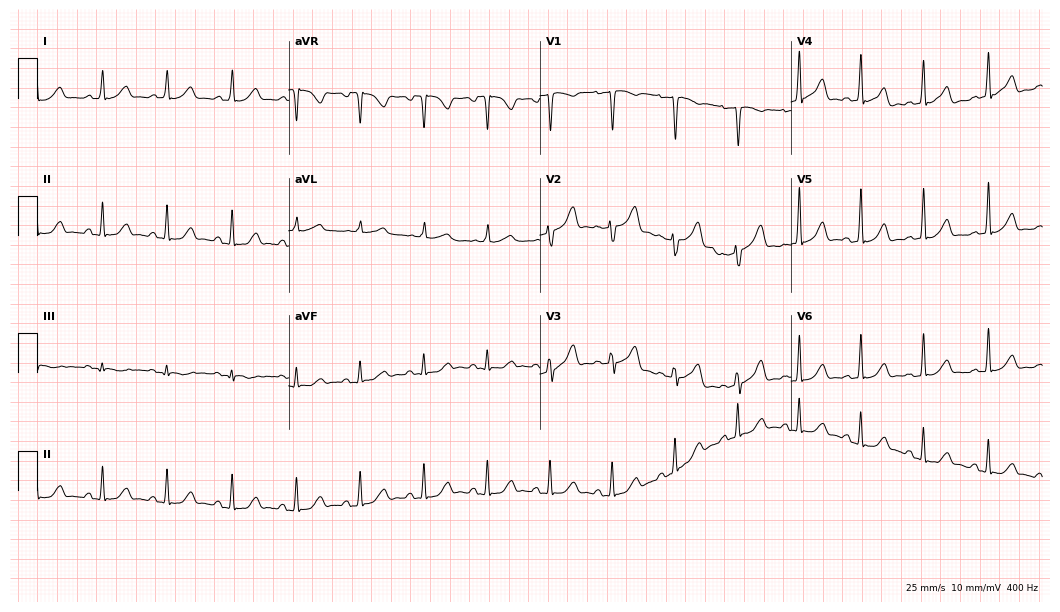
Standard 12-lead ECG recorded from a 34-year-old female patient (10.2-second recording at 400 Hz). Read as a normal ECG.